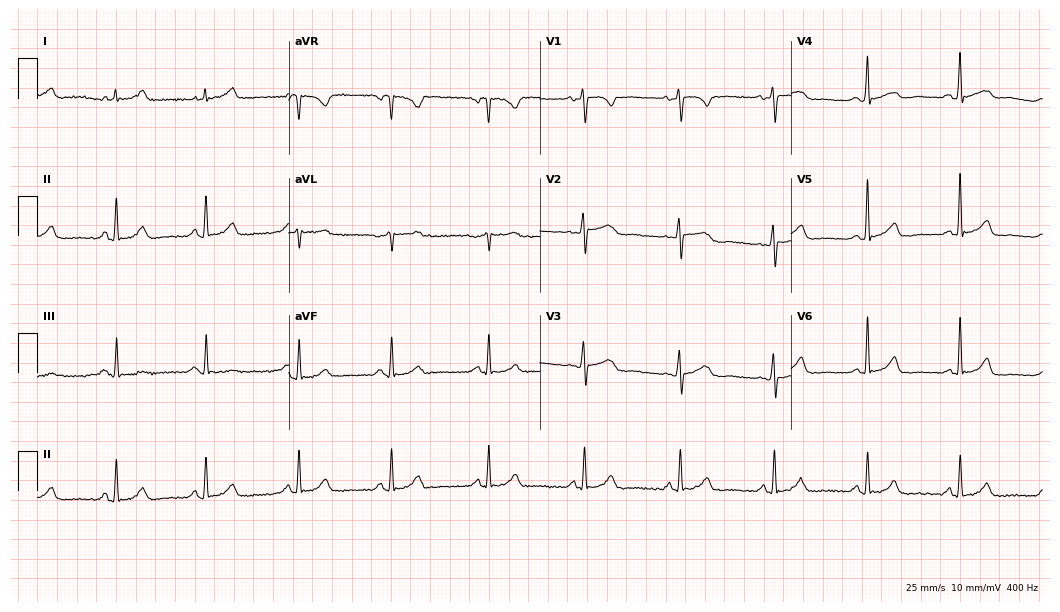
12-lead ECG from a woman, 47 years old (10.2-second recording at 400 Hz). Recorded interpretation: within normal limits.